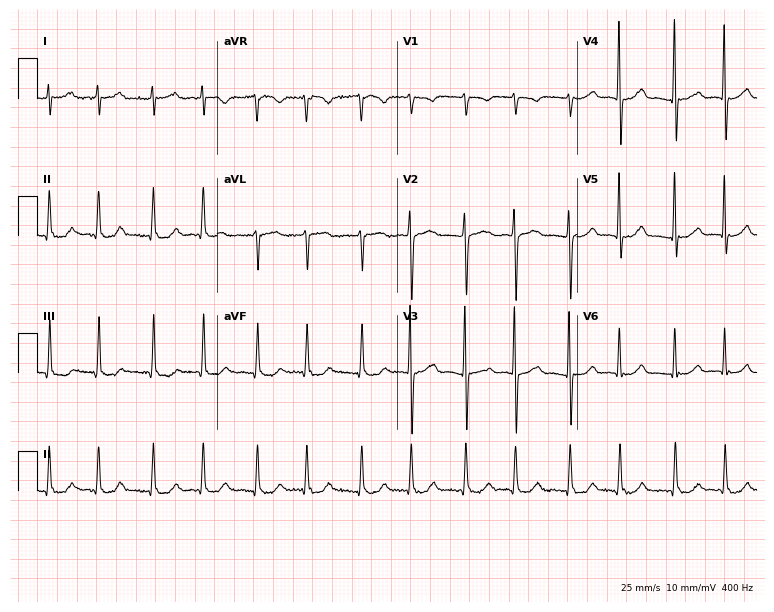
Resting 12-lead electrocardiogram. Patient: a female, 71 years old. None of these six findings is recorded: first-degree AV block, right bundle branch block, left bundle branch block, sinus bradycardia, atrial fibrillation, sinus tachycardia. Other findings, if any, are not listed.